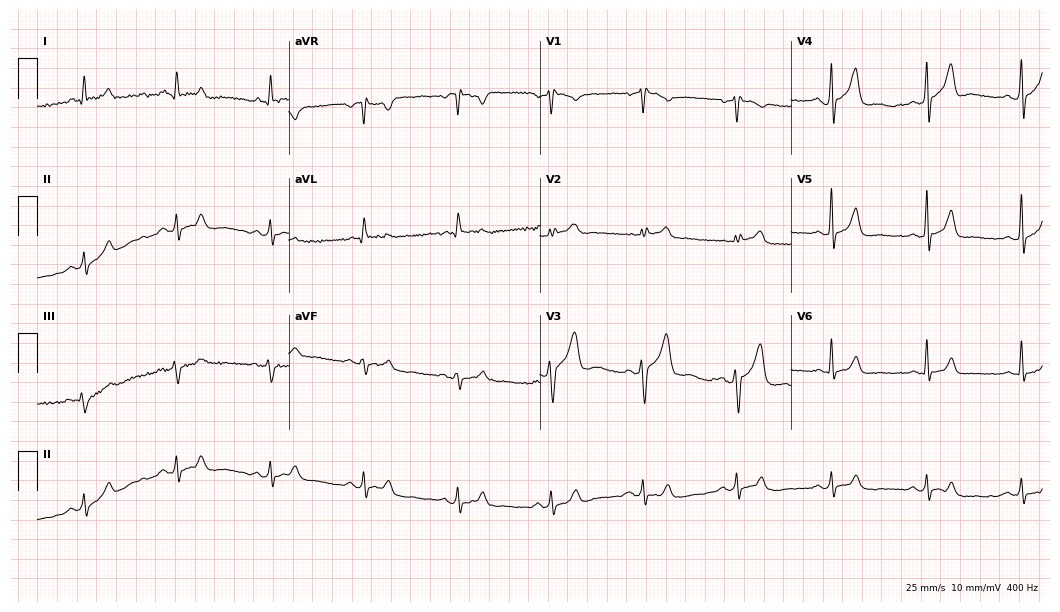
12-lead ECG (10.2-second recording at 400 Hz) from a 70-year-old male. Labelled as a normal ECG.